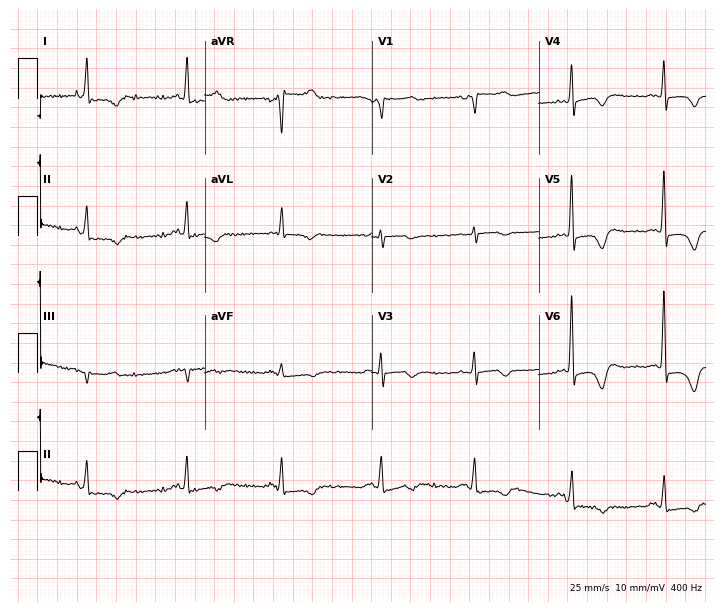
Standard 12-lead ECG recorded from a man, 75 years old (6.8-second recording at 400 Hz). None of these six findings is recorded: first-degree AV block, right bundle branch block (RBBB), left bundle branch block (LBBB), sinus bradycardia, atrial fibrillation (AF), sinus tachycardia.